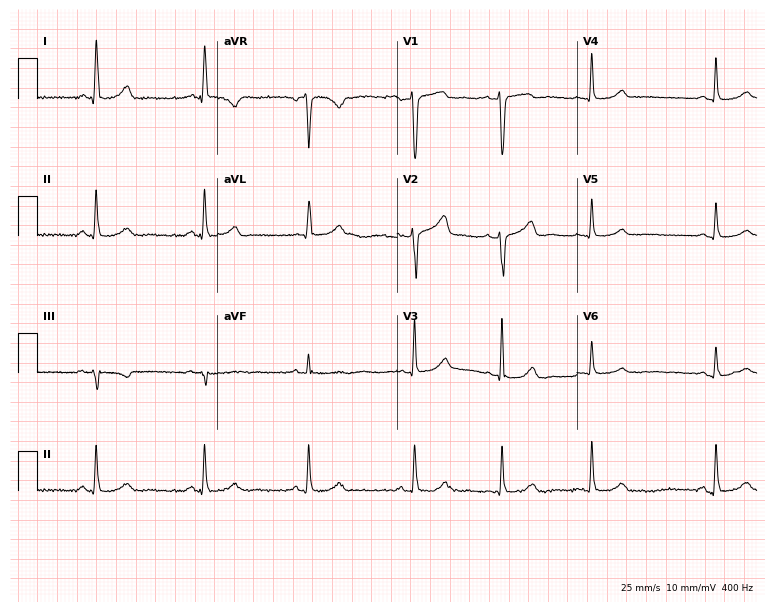
12-lead ECG from a female patient, 60 years old. No first-degree AV block, right bundle branch block, left bundle branch block, sinus bradycardia, atrial fibrillation or sinus tachycardia recorded for this tracing. Findings outside these six are not listed.